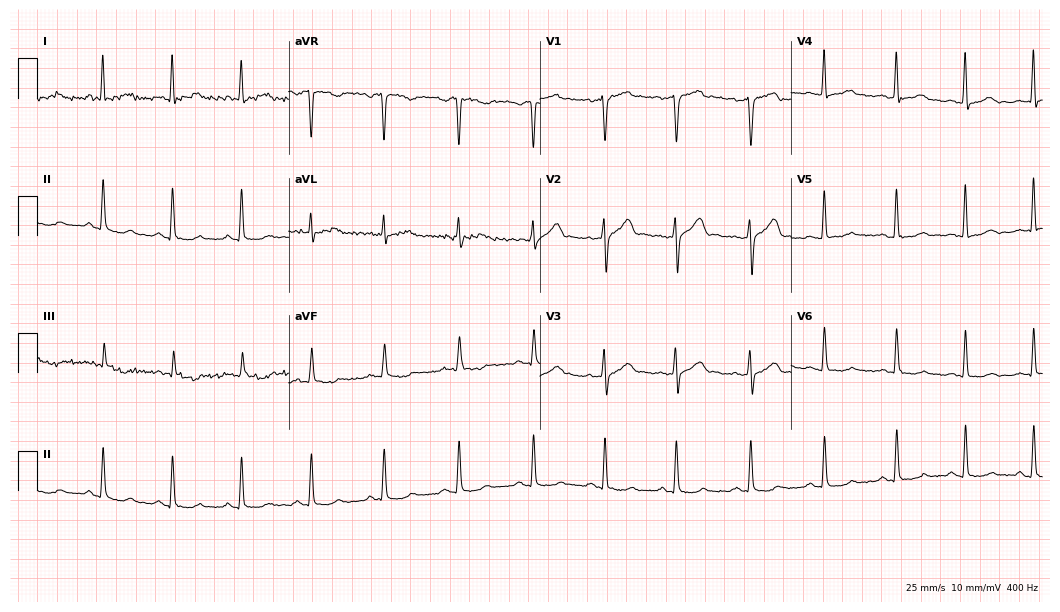
12-lead ECG from a woman, 42 years old (10.2-second recording at 400 Hz). No first-degree AV block, right bundle branch block, left bundle branch block, sinus bradycardia, atrial fibrillation or sinus tachycardia recorded for this tracing.